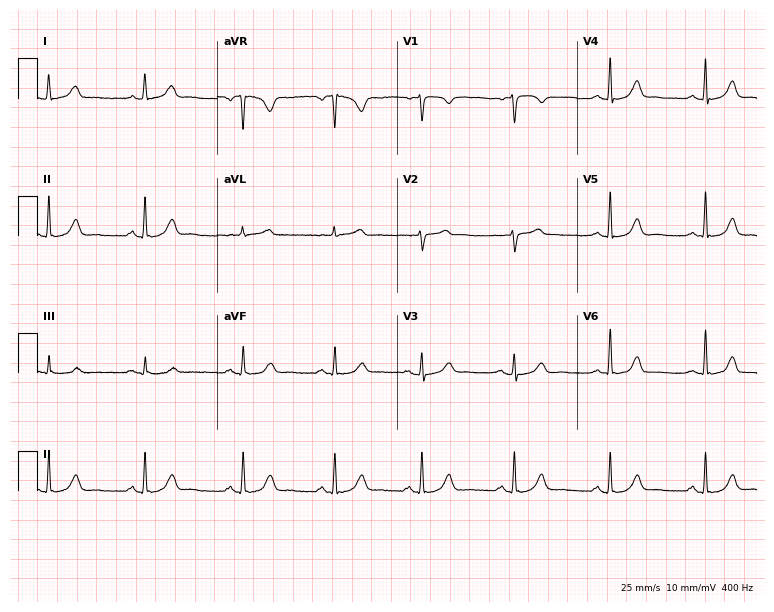
Electrocardiogram (7.3-second recording at 400 Hz), a woman, 48 years old. Of the six screened findings (first-degree AV block, right bundle branch block, left bundle branch block, sinus bradycardia, atrial fibrillation, sinus tachycardia), none is recorded. Other findings, if any, are not listed.